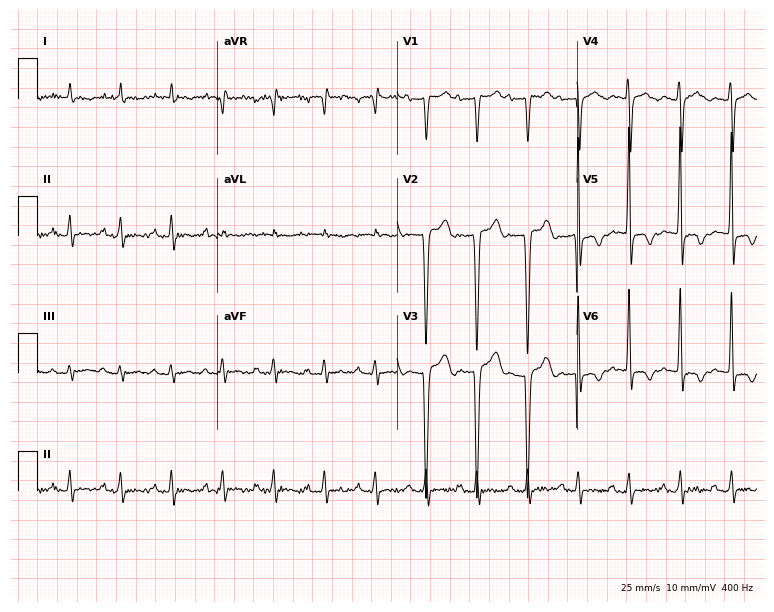
12-lead ECG from a woman, 42 years old. No first-degree AV block, right bundle branch block (RBBB), left bundle branch block (LBBB), sinus bradycardia, atrial fibrillation (AF) or sinus tachycardia recorded for this tracing.